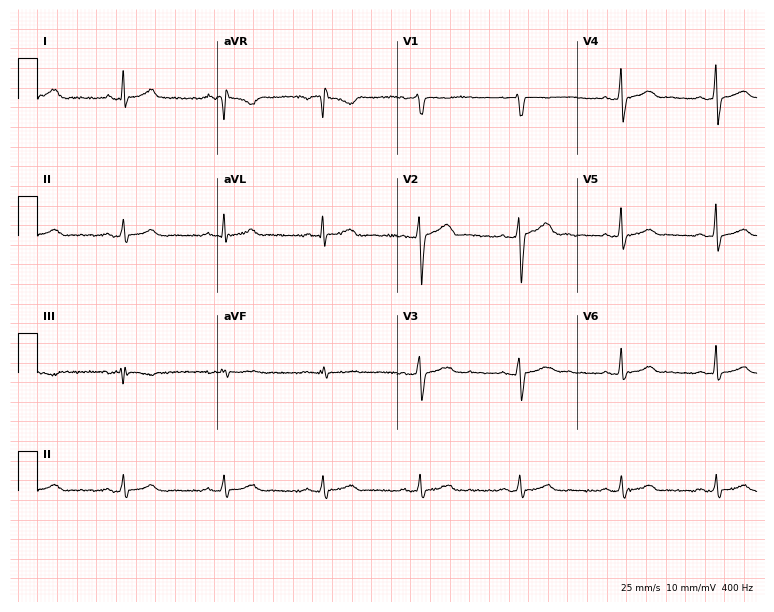
12-lead ECG (7.3-second recording at 400 Hz) from a 40-year-old male. Labelled as a normal ECG.